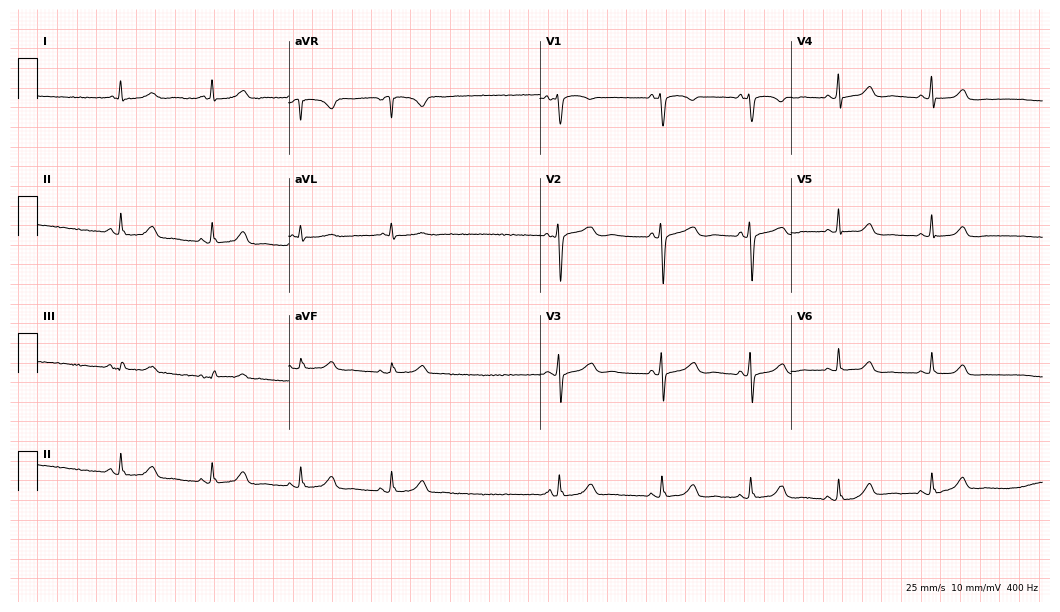
ECG (10.2-second recording at 400 Hz) — a 60-year-old woman. Labelled as a normal ECG.